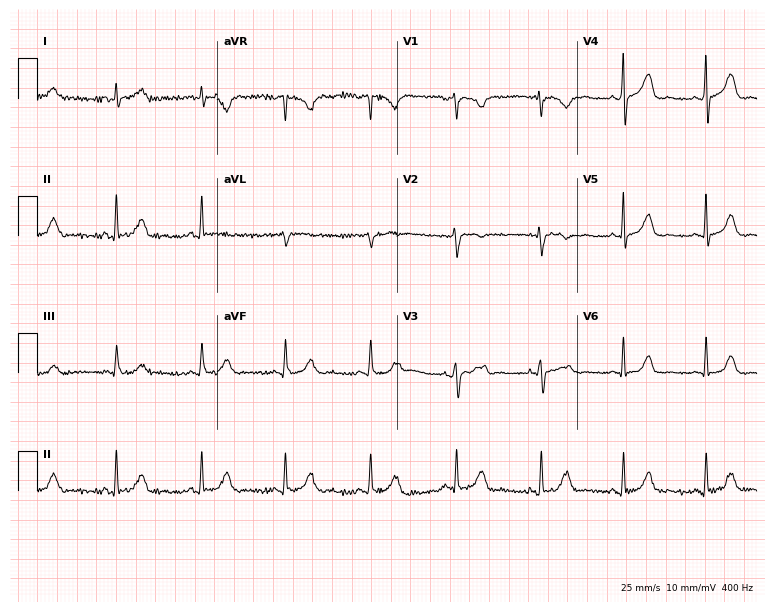
12-lead ECG (7.3-second recording at 400 Hz) from a female patient, 56 years old. Labelled as a normal ECG.